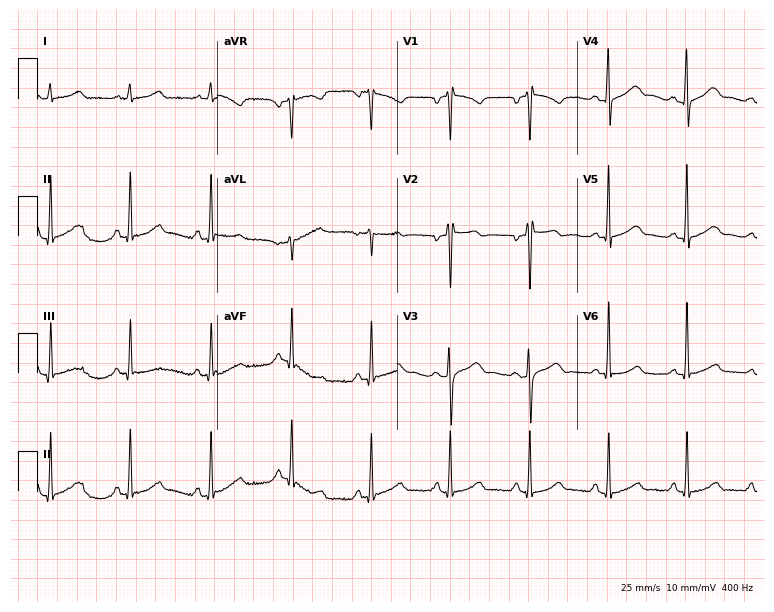
ECG (7.3-second recording at 400 Hz) — a 47-year-old male patient. Screened for six findings — first-degree AV block, right bundle branch block (RBBB), left bundle branch block (LBBB), sinus bradycardia, atrial fibrillation (AF), sinus tachycardia — none is recorded.